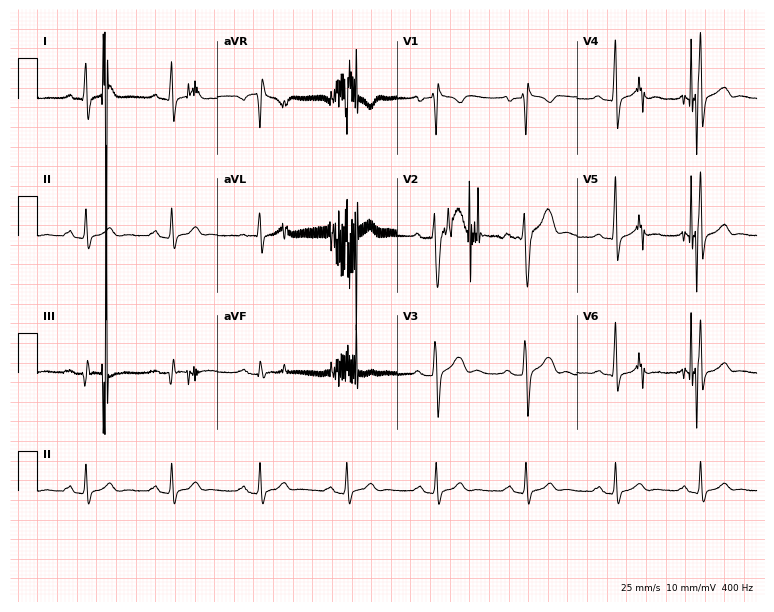
ECG (7.3-second recording at 400 Hz) — a 36-year-old male patient. Labelled as a normal ECG.